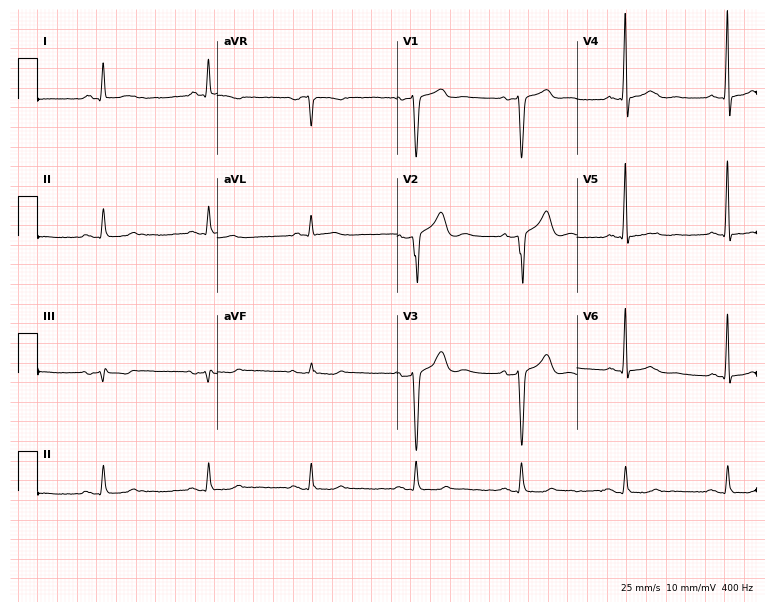
Electrocardiogram, a man, 56 years old. Of the six screened findings (first-degree AV block, right bundle branch block, left bundle branch block, sinus bradycardia, atrial fibrillation, sinus tachycardia), none is recorded. Findings outside these six are not listed.